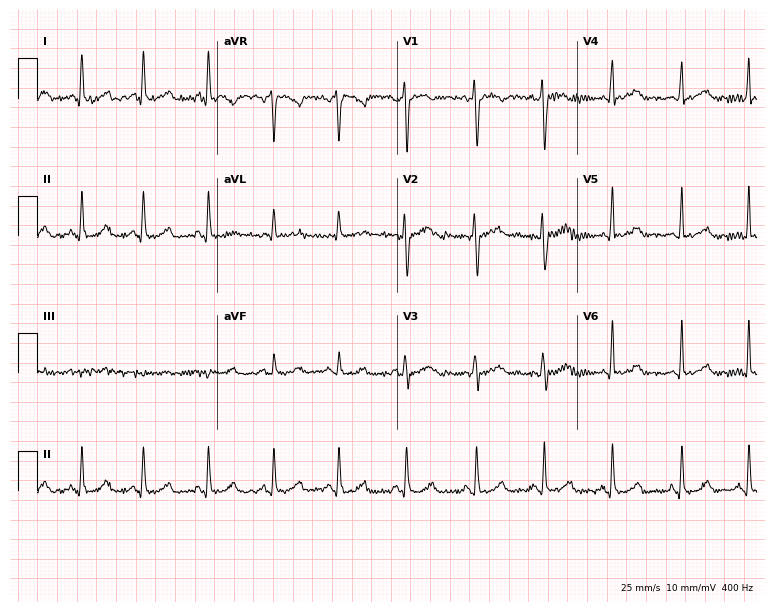
12-lead ECG from a 26-year-old female patient (7.3-second recording at 400 Hz). Recorded interpretation: within normal limits.